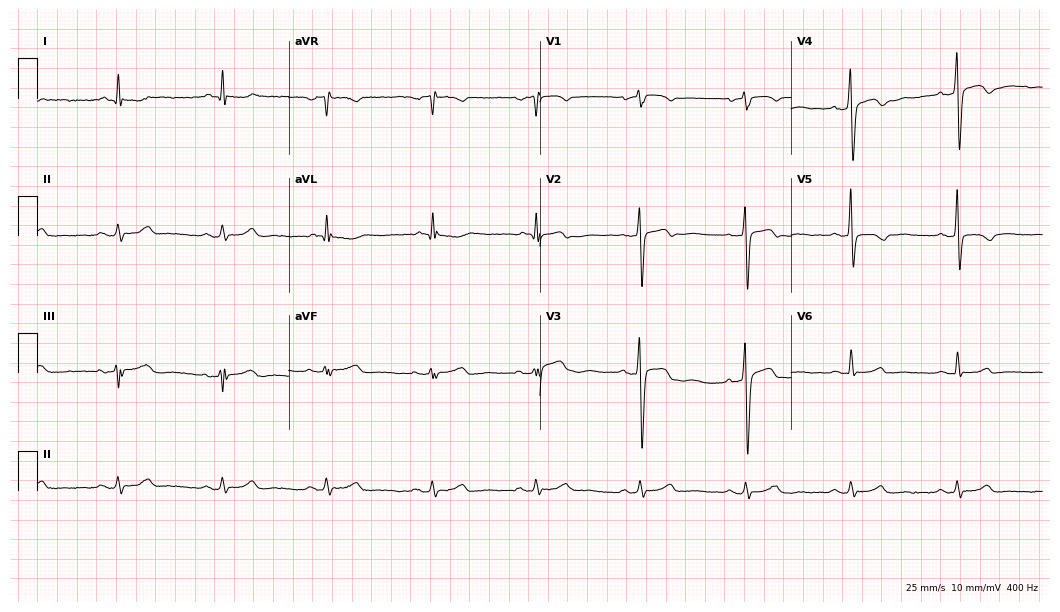
Resting 12-lead electrocardiogram. Patient: a 70-year-old man. None of these six findings is recorded: first-degree AV block, right bundle branch block, left bundle branch block, sinus bradycardia, atrial fibrillation, sinus tachycardia. Only these six findings were labelled.